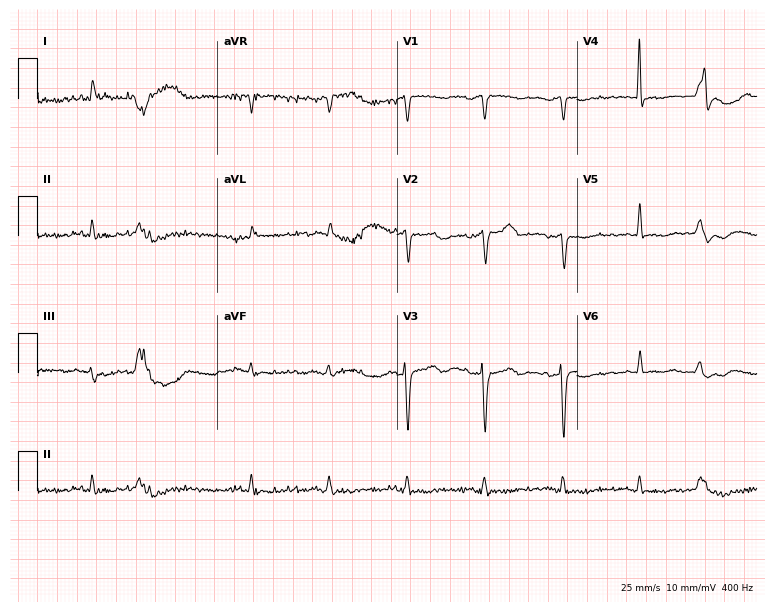
ECG (7.3-second recording at 400 Hz) — a 76-year-old female. Screened for six findings — first-degree AV block, right bundle branch block, left bundle branch block, sinus bradycardia, atrial fibrillation, sinus tachycardia — none is recorded.